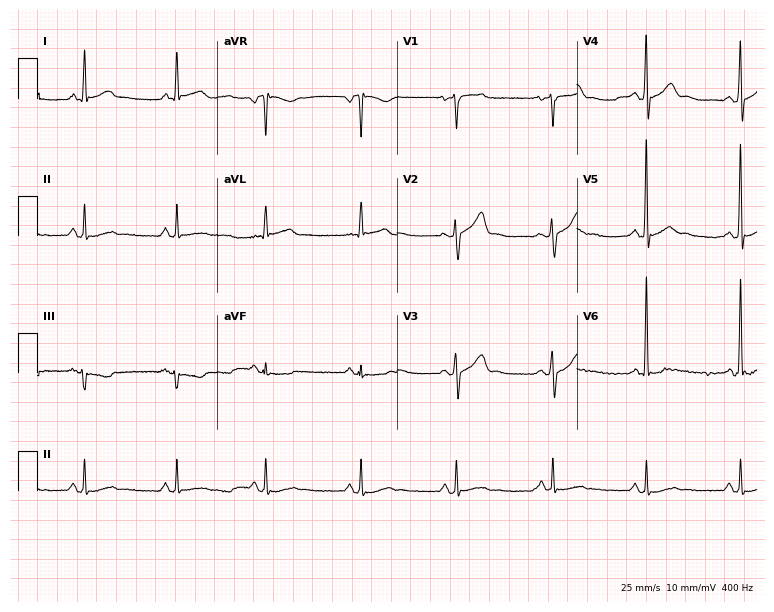
12-lead ECG from a man, 58 years old. Labelled as a normal ECG.